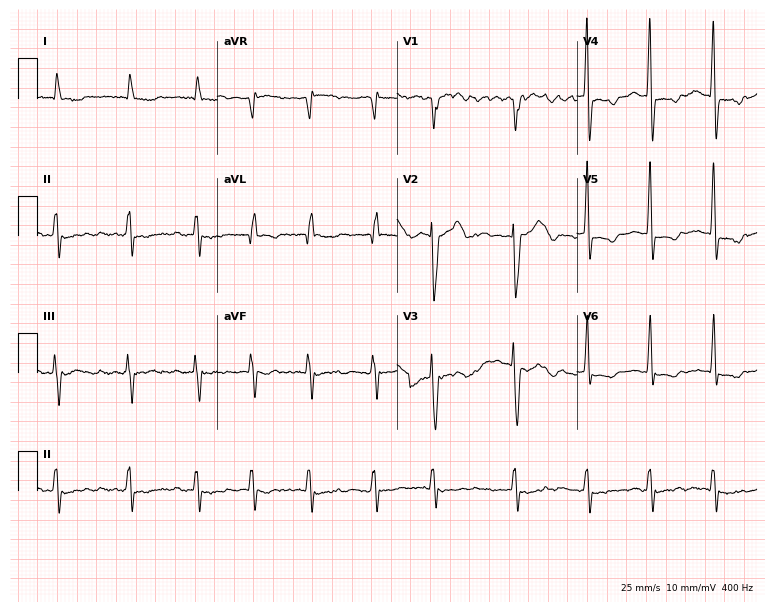
Resting 12-lead electrocardiogram (7.3-second recording at 400 Hz). Patient: a woman, 82 years old. The tracing shows atrial fibrillation.